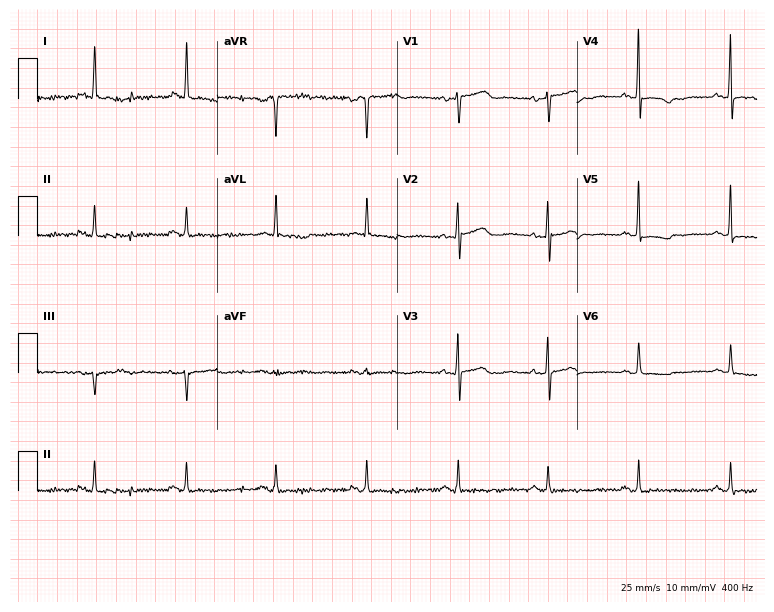
12-lead ECG from a female patient, 73 years old. No first-degree AV block, right bundle branch block (RBBB), left bundle branch block (LBBB), sinus bradycardia, atrial fibrillation (AF) or sinus tachycardia recorded for this tracing.